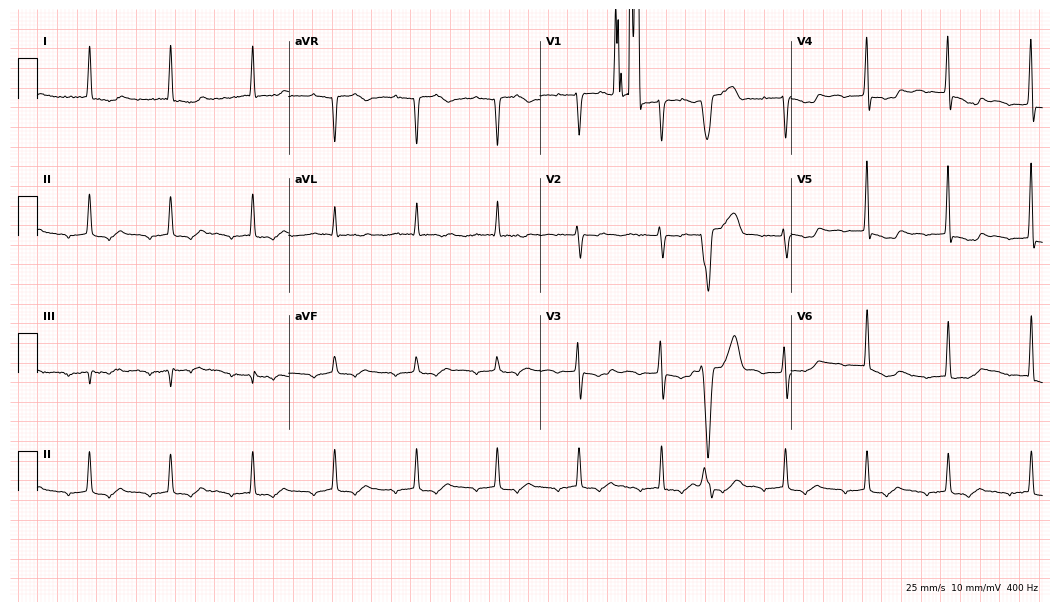
ECG (10.2-second recording at 400 Hz) — a female, 81 years old. Screened for six findings — first-degree AV block, right bundle branch block, left bundle branch block, sinus bradycardia, atrial fibrillation, sinus tachycardia — none is recorded. Findings outside these six are not listed.